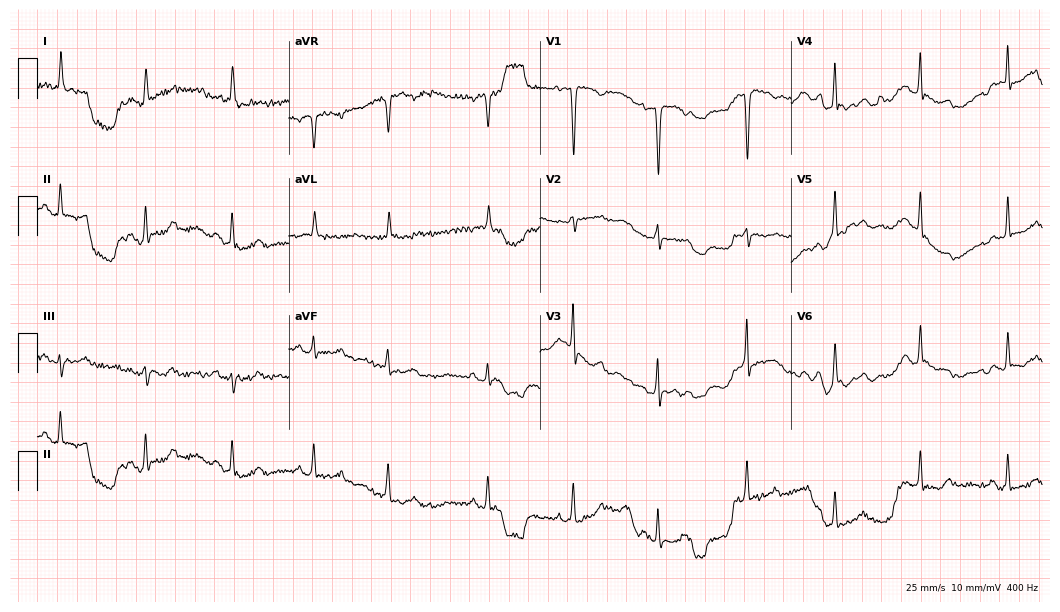
ECG — a female, 76 years old. Screened for six findings — first-degree AV block, right bundle branch block, left bundle branch block, sinus bradycardia, atrial fibrillation, sinus tachycardia — none is recorded. Findings outside these six are not listed.